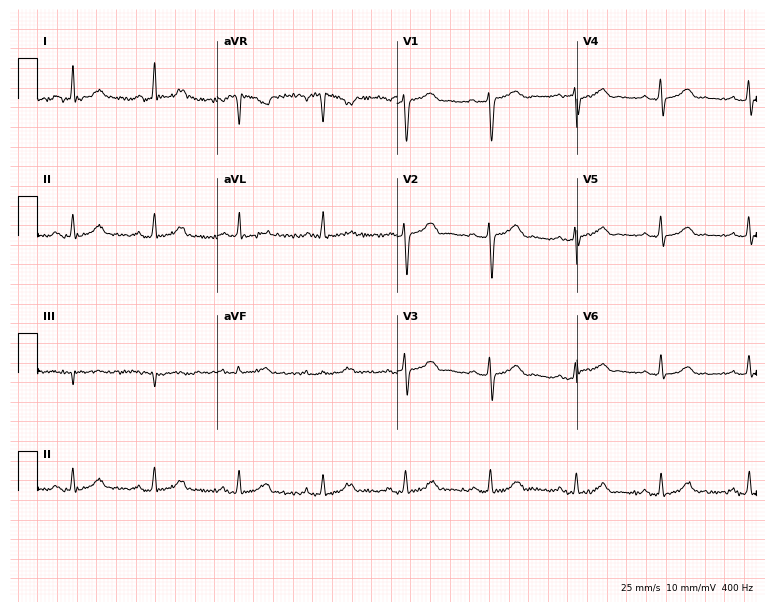
Standard 12-lead ECG recorded from a 44-year-old female patient (7.3-second recording at 400 Hz). None of these six findings is recorded: first-degree AV block, right bundle branch block, left bundle branch block, sinus bradycardia, atrial fibrillation, sinus tachycardia.